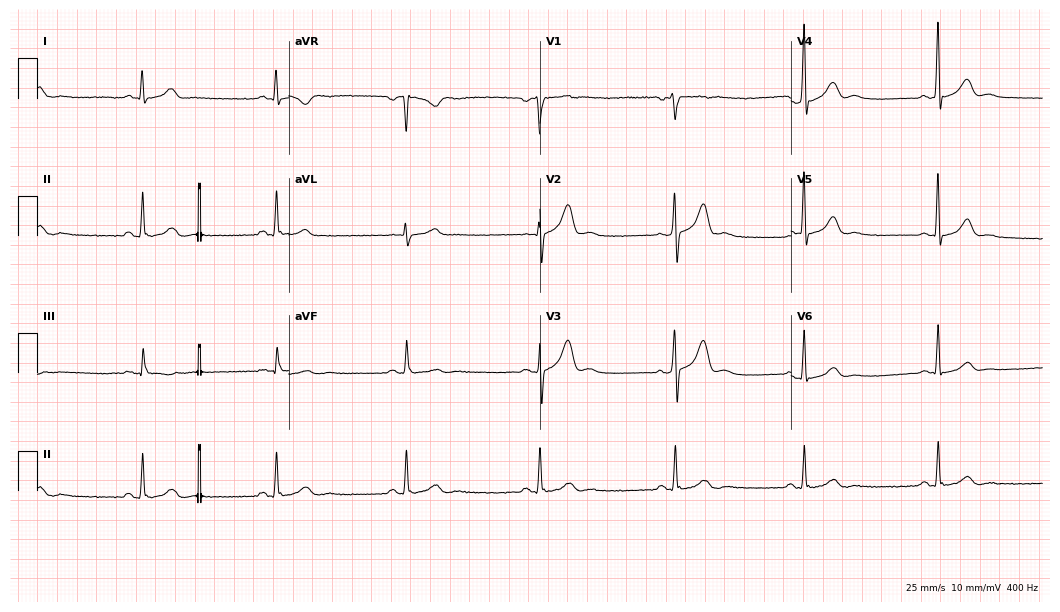
12-lead ECG (10.2-second recording at 400 Hz) from a 48-year-old male patient. Findings include sinus bradycardia (a sinus rate of 50 beats per minute or less).